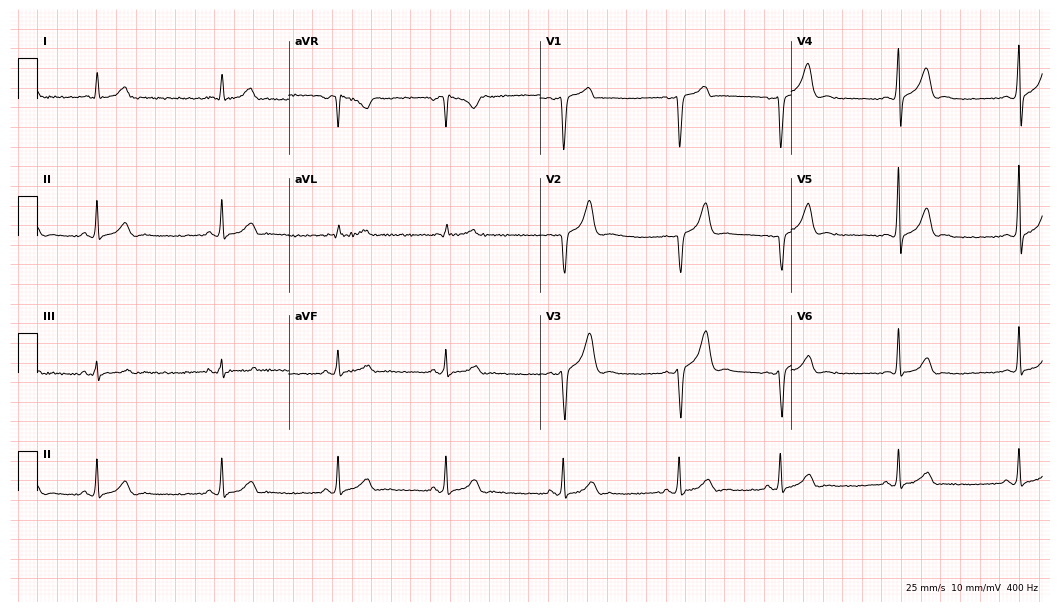
Electrocardiogram, a male patient, 34 years old. Of the six screened findings (first-degree AV block, right bundle branch block, left bundle branch block, sinus bradycardia, atrial fibrillation, sinus tachycardia), none is recorded. Only these six findings were labelled.